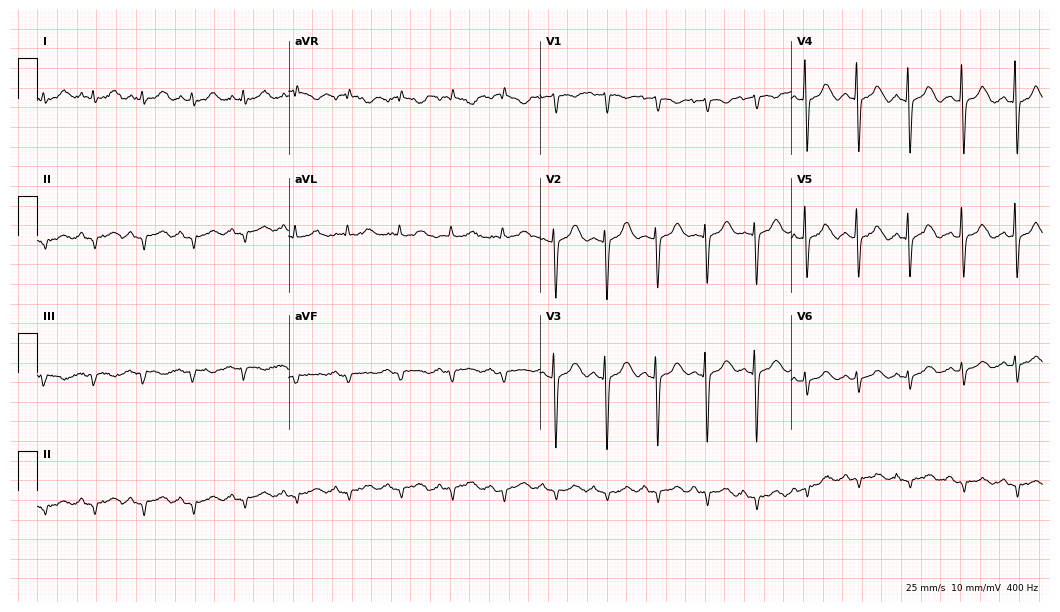
Standard 12-lead ECG recorded from a 68-year-old woman (10.2-second recording at 400 Hz). None of these six findings is recorded: first-degree AV block, right bundle branch block (RBBB), left bundle branch block (LBBB), sinus bradycardia, atrial fibrillation (AF), sinus tachycardia. Findings outside these six are not listed.